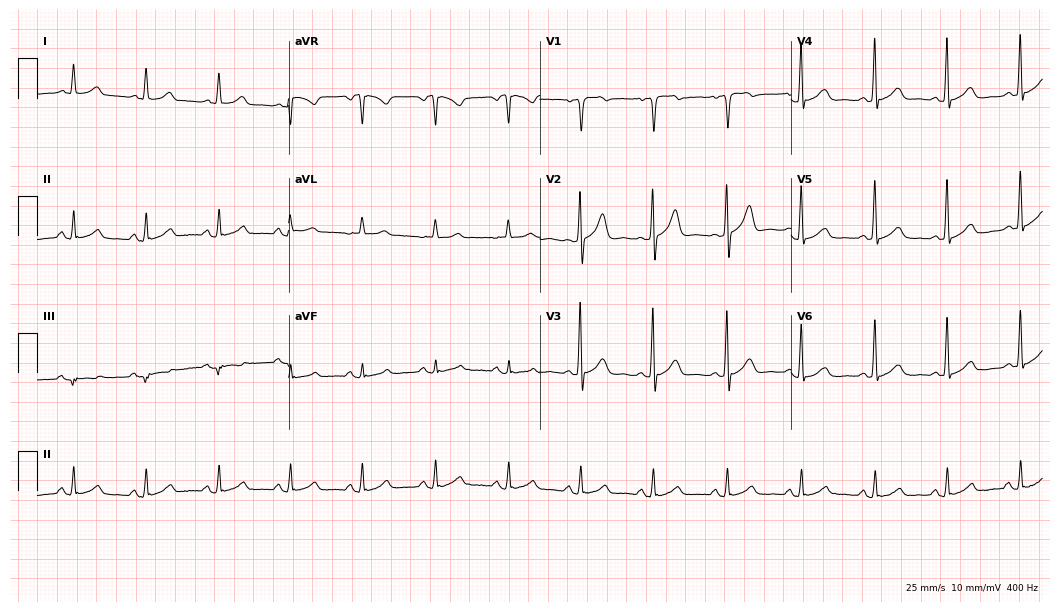
12-lead ECG (10.2-second recording at 400 Hz) from a 52-year-old man. Screened for six findings — first-degree AV block, right bundle branch block (RBBB), left bundle branch block (LBBB), sinus bradycardia, atrial fibrillation (AF), sinus tachycardia — none is recorded.